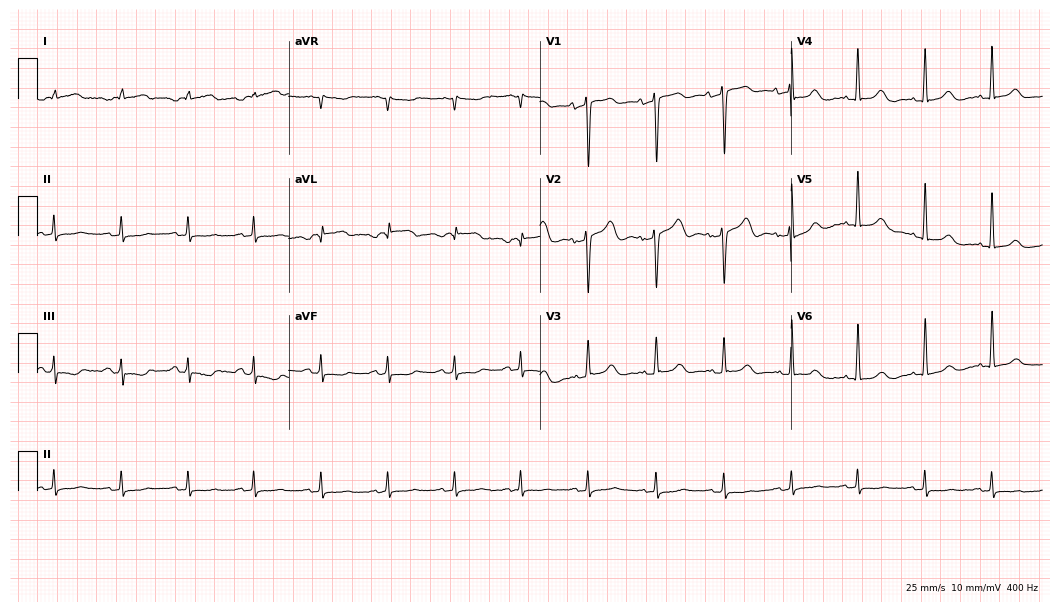
Electrocardiogram, a female, 85 years old. Of the six screened findings (first-degree AV block, right bundle branch block (RBBB), left bundle branch block (LBBB), sinus bradycardia, atrial fibrillation (AF), sinus tachycardia), none is recorded.